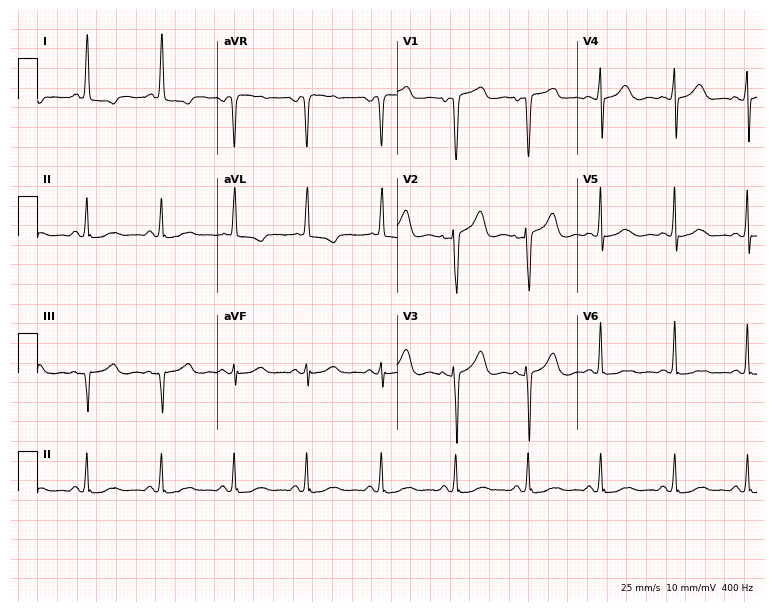
12-lead ECG from a woman, 60 years old (7.3-second recording at 400 Hz). No first-degree AV block, right bundle branch block (RBBB), left bundle branch block (LBBB), sinus bradycardia, atrial fibrillation (AF) or sinus tachycardia recorded for this tracing.